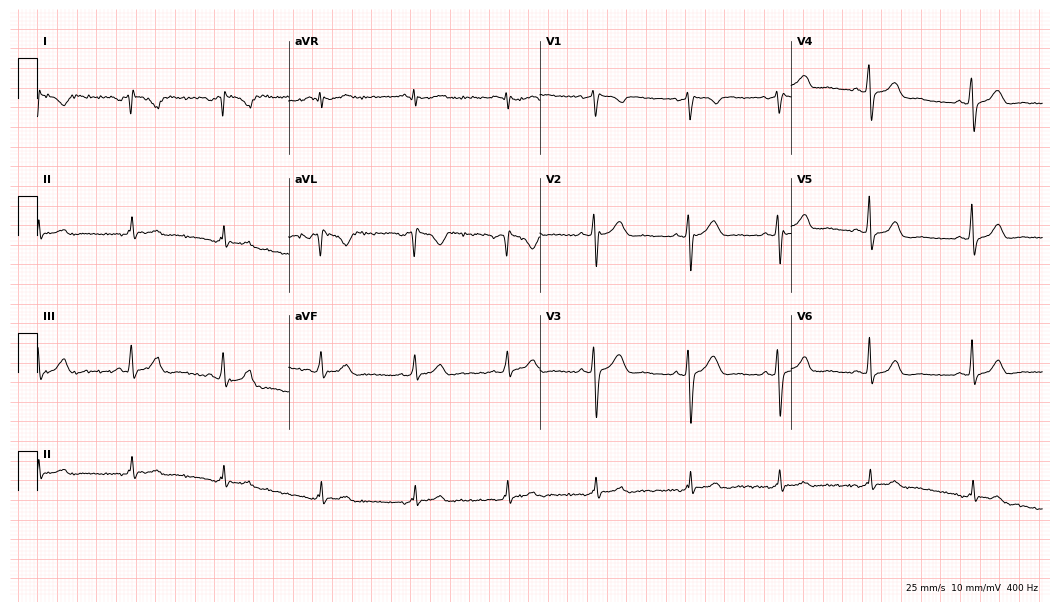
12-lead ECG (10.2-second recording at 400 Hz) from a woman, 31 years old. Screened for six findings — first-degree AV block, right bundle branch block, left bundle branch block, sinus bradycardia, atrial fibrillation, sinus tachycardia — none is recorded.